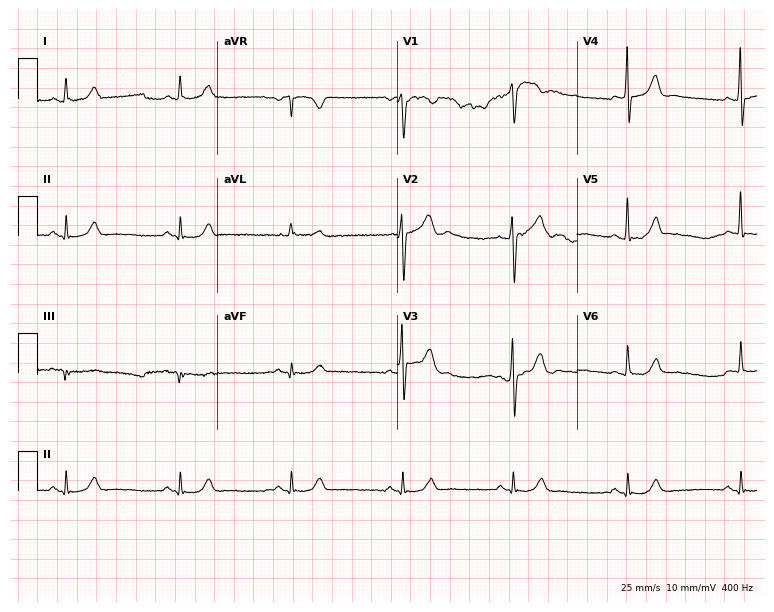
12-lead ECG from a 60-year-old male. Screened for six findings — first-degree AV block, right bundle branch block, left bundle branch block, sinus bradycardia, atrial fibrillation, sinus tachycardia — none is recorded. Findings outside these six are not listed.